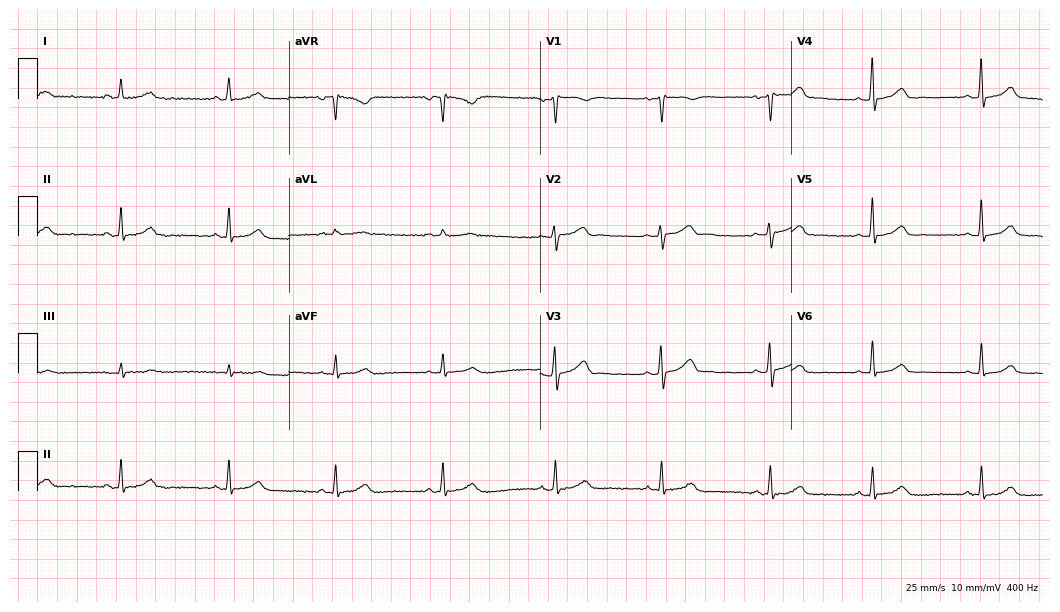
Electrocardiogram (10.2-second recording at 400 Hz), a 52-year-old female. Of the six screened findings (first-degree AV block, right bundle branch block (RBBB), left bundle branch block (LBBB), sinus bradycardia, atrial fibrillation (AF), sinus tachycardia), none is recorded. Only these six findings were labelled.